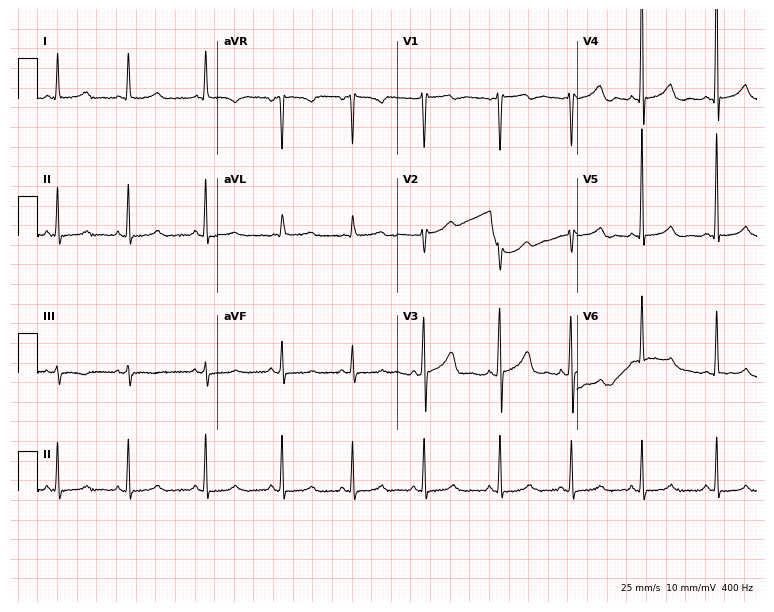
12-lead ECG from a 43-year-old female patient (7.3-second recording at 400 Hz). No first-degree AV block, right bundle branch block, left bundle branch block, sinus bradycardia, atrial fibrillation or sinus tachycardia recorded for this tracing. Only these six findings were labelled.